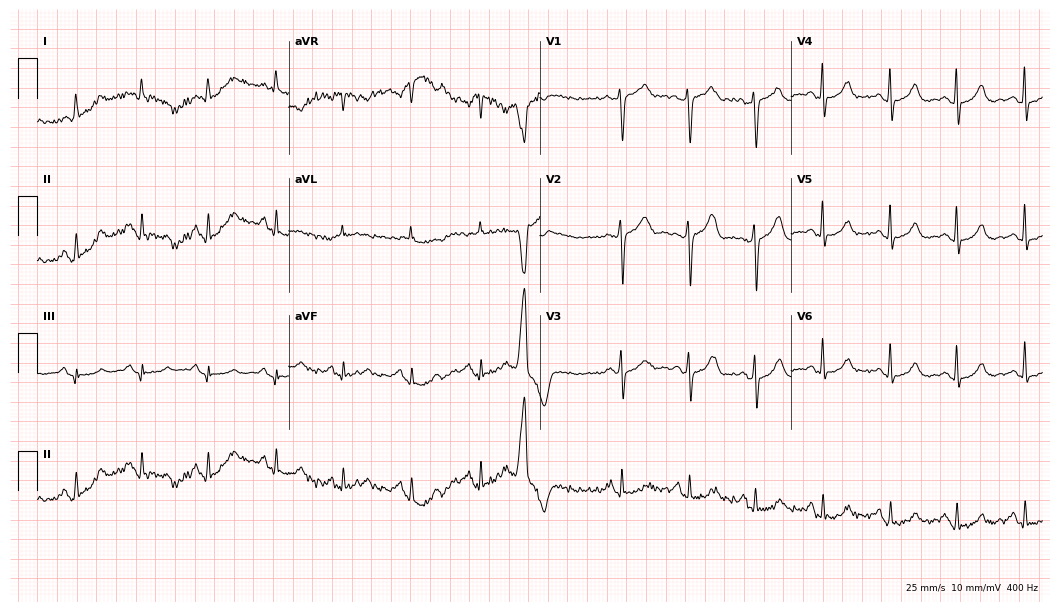
12-lead ECG (10.2-second recording at 400 Hz) from a female patient, 47 years old. Labelled as a normal ECG.